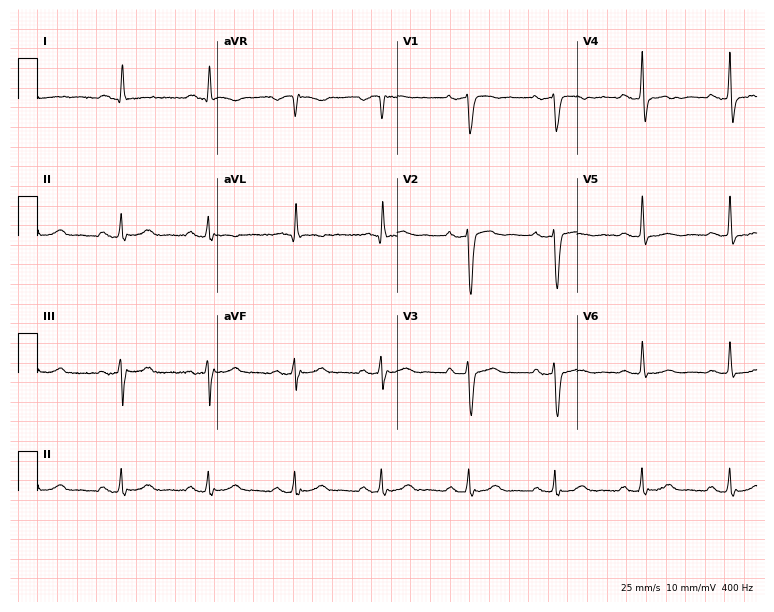
12-lead ECG from a 62-year-old female patient. Screened for six findings — first-degree AV block, right bundle branch block (RBBB), left bundle branch block (LBBB), sinus bradycardia, atrial fibrillation (AF), sinus tachycardia — none is recorded.